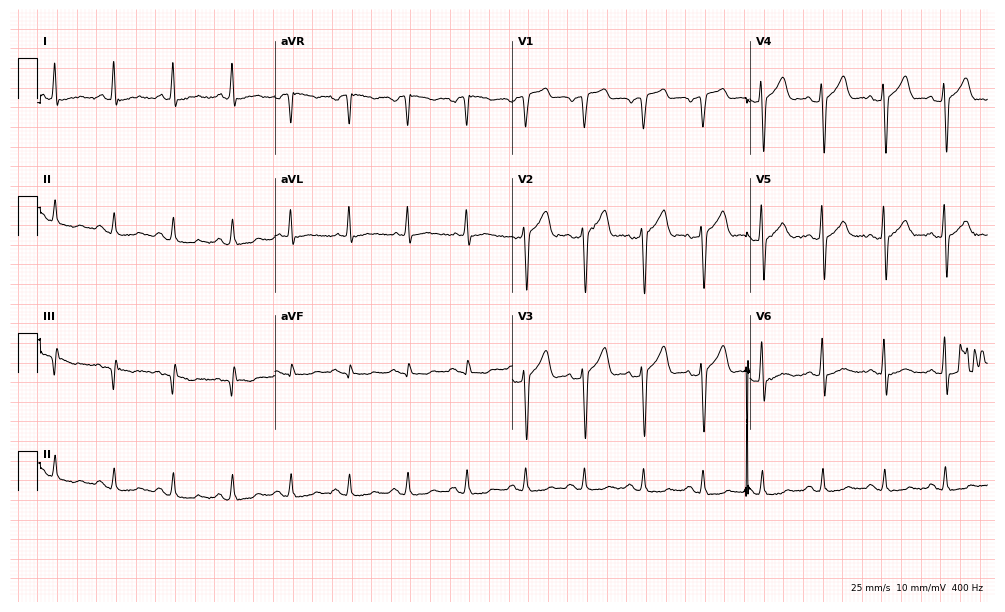
ECG — a male, 33 years old. Screened for six findings — first-degree AV block, right bundle branch block (RBBB), left bundle branch block (LBBB), sinus bradycardia, atrial fibrillation (AF), sinus tachycardia — none is recorded.